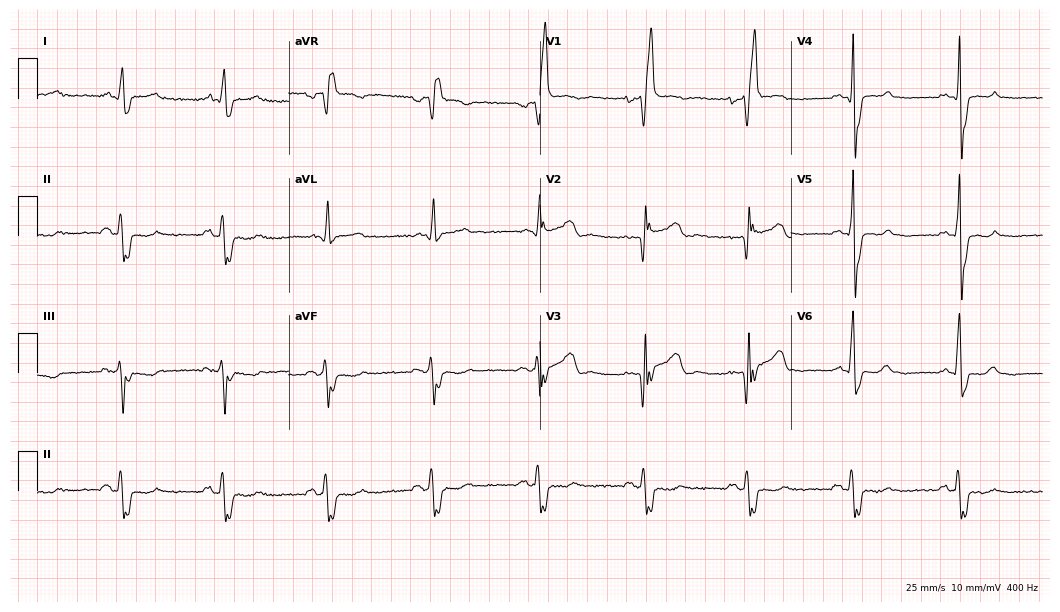
Electrocardiogram (10.2-second recording at 400 Hz), a 73-year-old male patient. Interpretation includes right bundle branch block (RBBB).